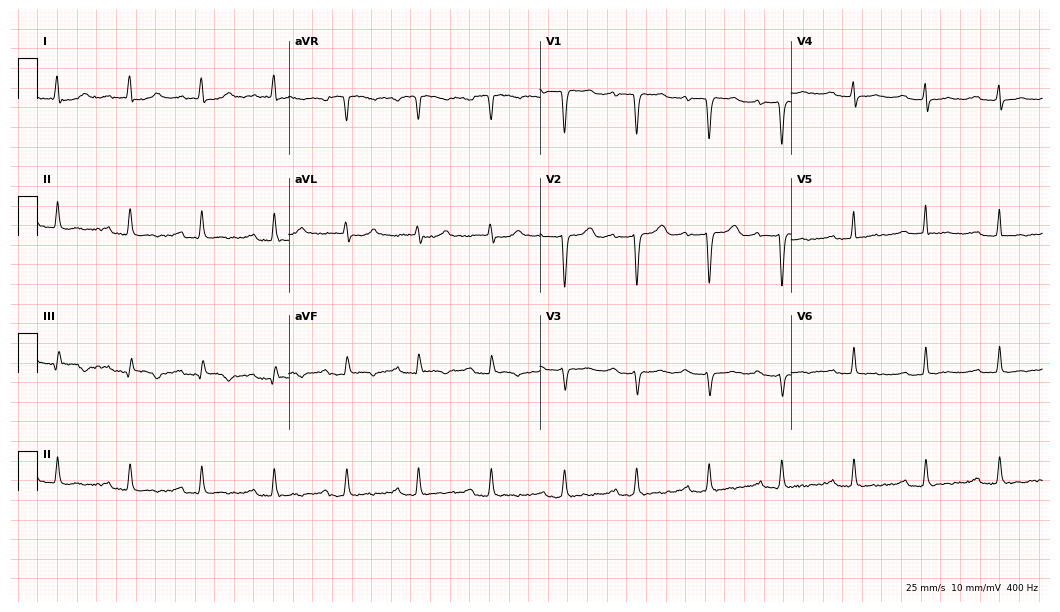
12-lead ECG from a 59-year-old female (10.2-second recording at 400 Hz). No first-degree AV block, right bundle branch block (RBBB), left bundle branch block (LBBB), sinus bradycardia, atrial fibrillation (AF) or sinus tachycardia recorded for this tracing. Findings outside these six are not listed.